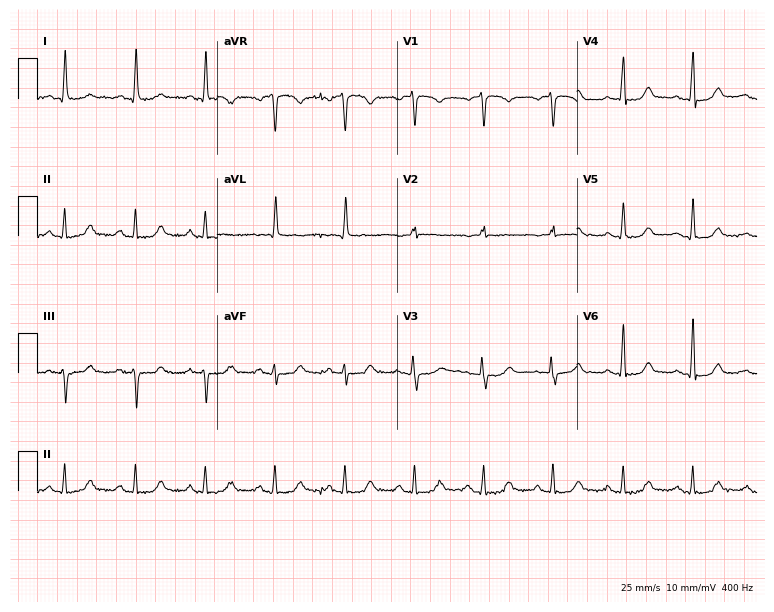
12-lead ECG from a female, 72 years old. Recorded interpretation: within normal limits.